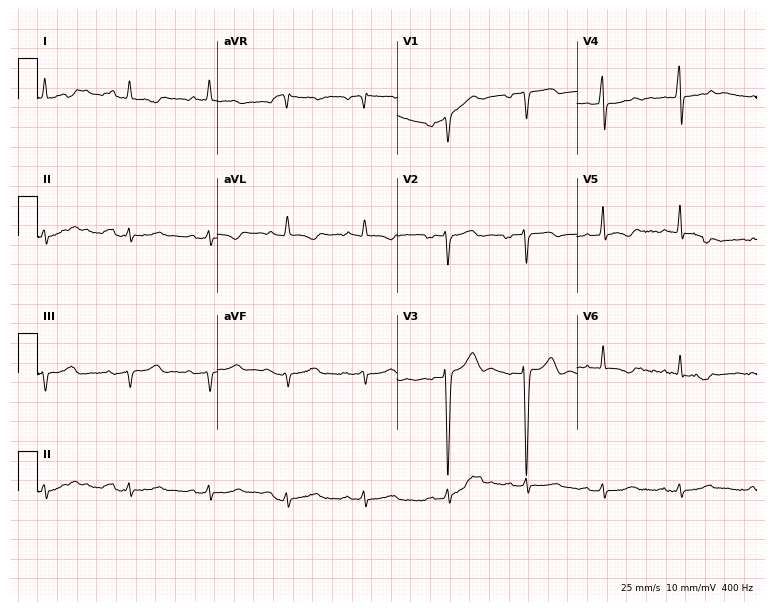
12-lead ECG (7.3-second recording at 400 Hz) from a 78-year-old male. Screened for six findings — first-degree AV block, right bundle branch block (RBBB), left bundle branch block (LBBB), sinus bradycardia, atrial fibrillation (AF), sinus tachycardia — none is recorded. Other findings, if any, are not listed.